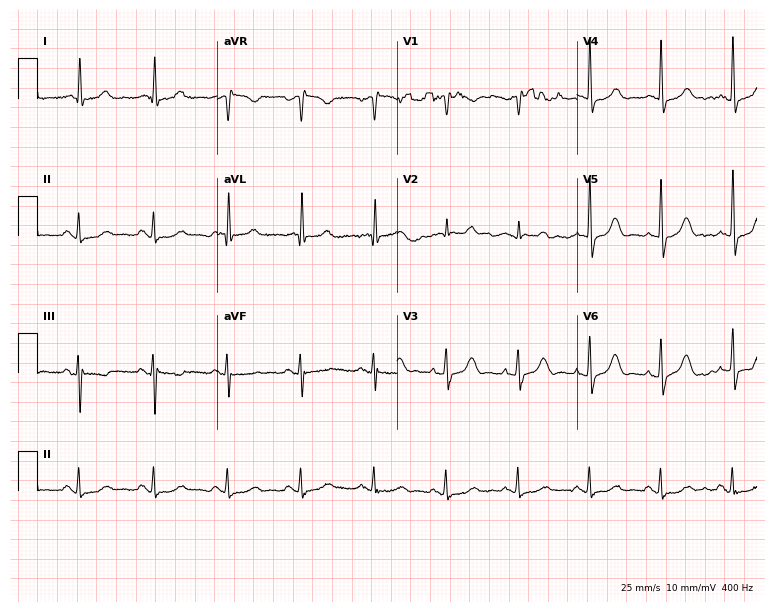
12-lead ECG (7.3-second recording at 400 Hz) from a female, 83 years old. Labelled as a normal ECG.